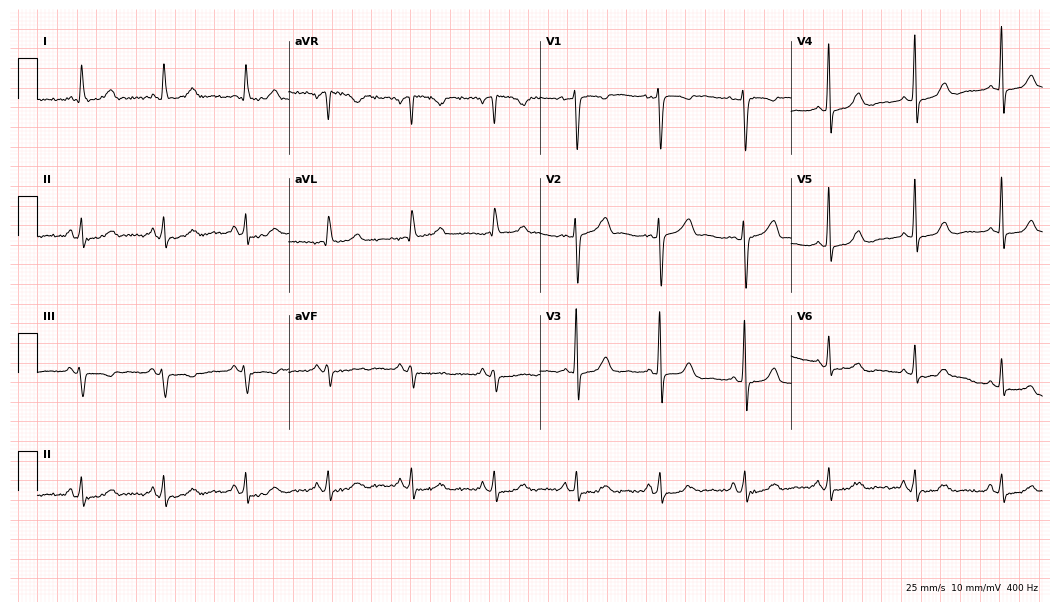
12-lead ECG (10.2-second recording at 400 Hz) from a female patient, 57 years old. Labelled as a normal ECG.